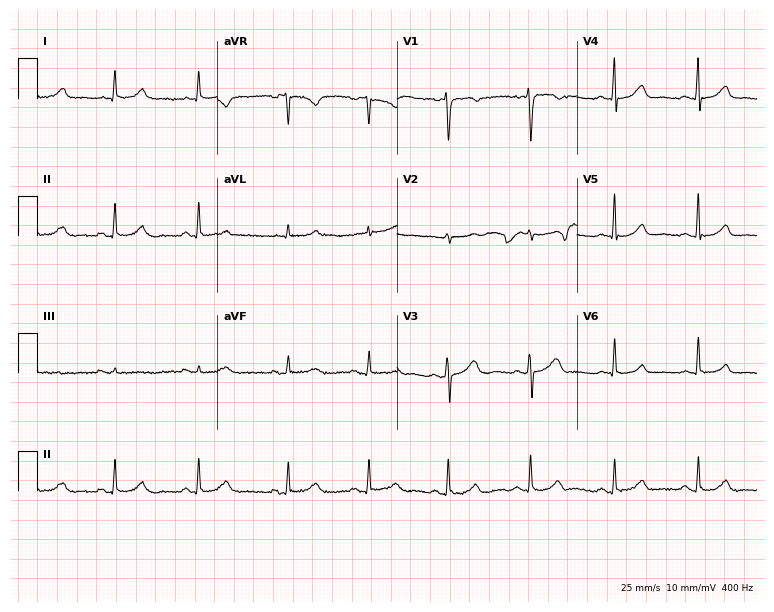
Resting 12-lead electrocardiogram. Patient: a 27-year-old female. None of these six findings is recorded: first-degree AV block, right bundle branch block, left bundle branch block, sinus bradycardia, atrial fibrillation, sinus tachycardia.